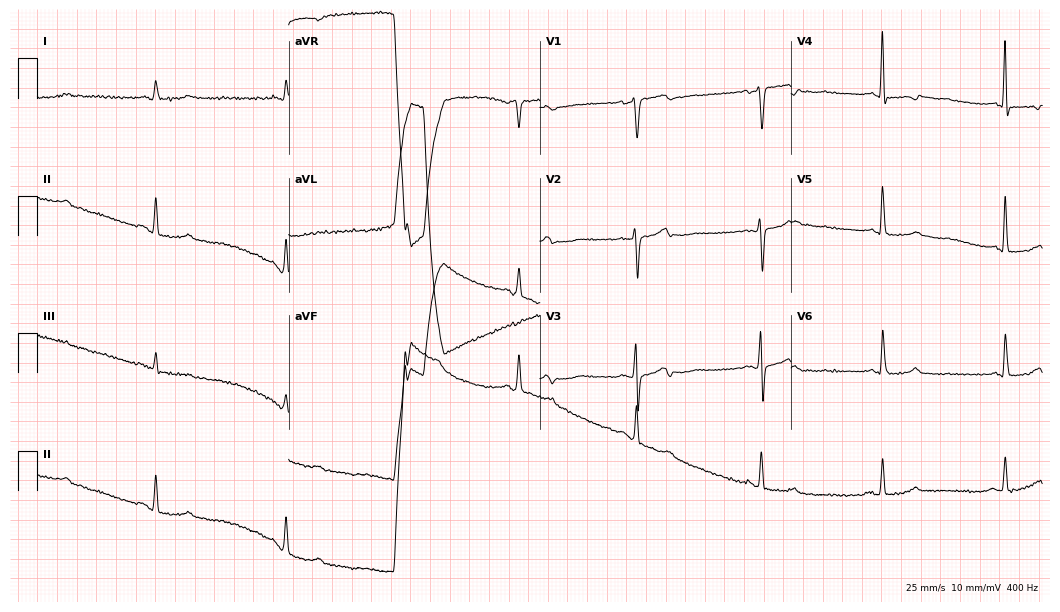
Standard 12-lead ECG recorded from a female, 77 years old (10.2-second recording at 400 Hz). The tracing shows sinus bradycardia (a sinus rate of 50 beats per minute or less).